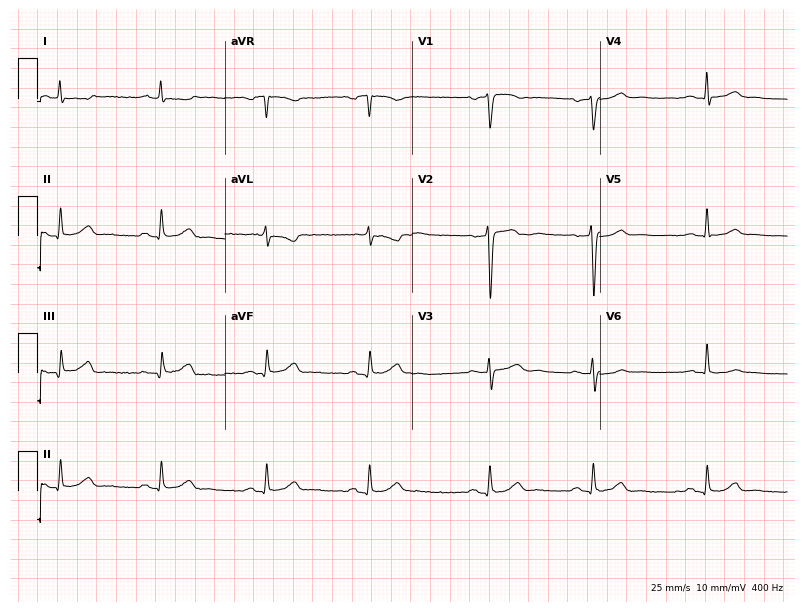
Standard 12-lead ECG recorded from a female, 42 years old (7.6-second recording at 400 Hz). None of these six findings is recorded: first-degree AV block, right bundle branch block, left bundle branch block, sinus bradycardia, atrial fibrillation, sinus tachycardia.